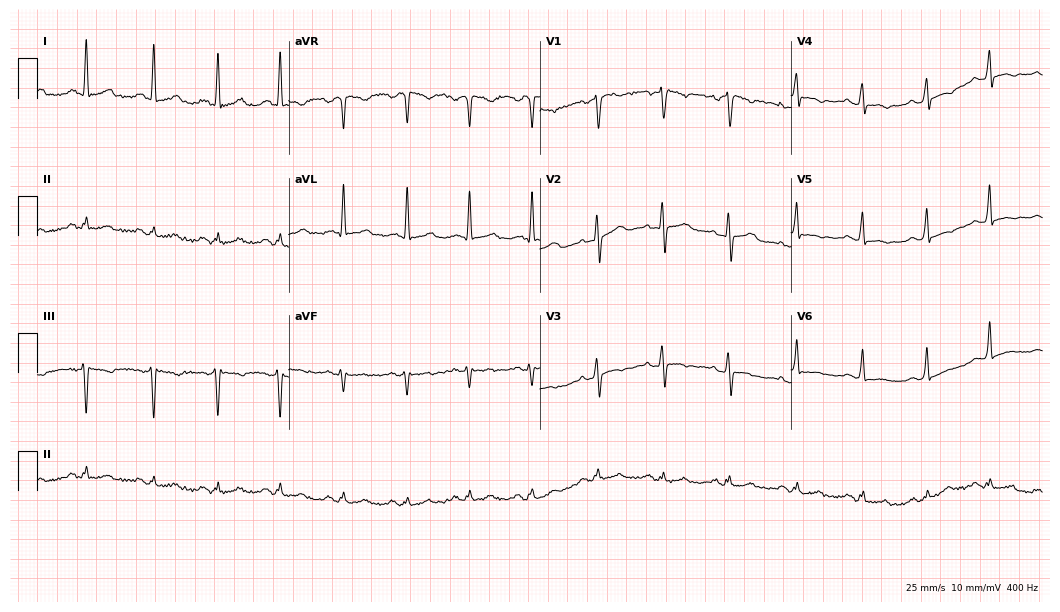
12-lead ECG from a 44-year-old female patient (10.2-second recording at 400 Hz). No first-degree AV block, right bundle branch block, left bundle branch block, sinus bradycardia, atrial fibrillation or sinus tachycardia recorded for this tracing. Only these six findings were labelled.